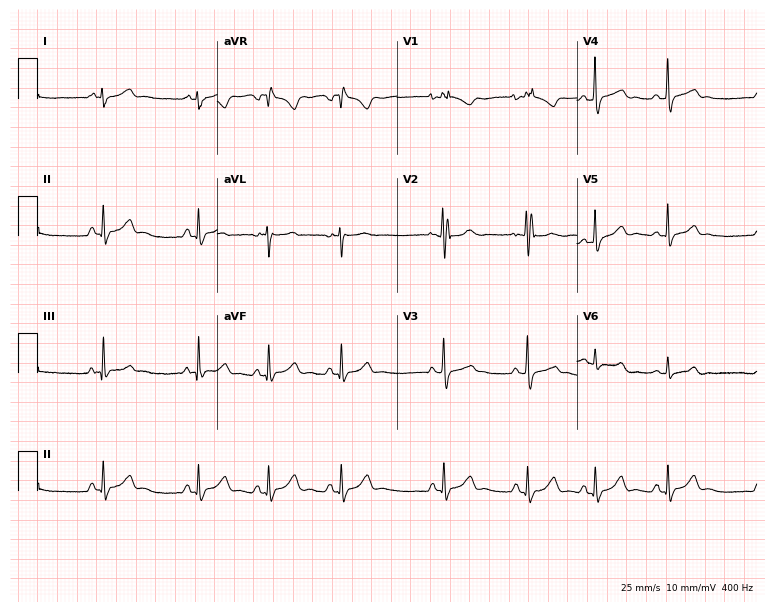
12-lead ECG (7.3-second recording at 400 Hz) from a female, 21 years old. Screened for six findings — first-degree AV block, right bundle branch block, left bundle branch block, sinus bradycardia, atrial fibrillation, sinus tachycardia — none is recorded. Other findings, if any, are not listed.